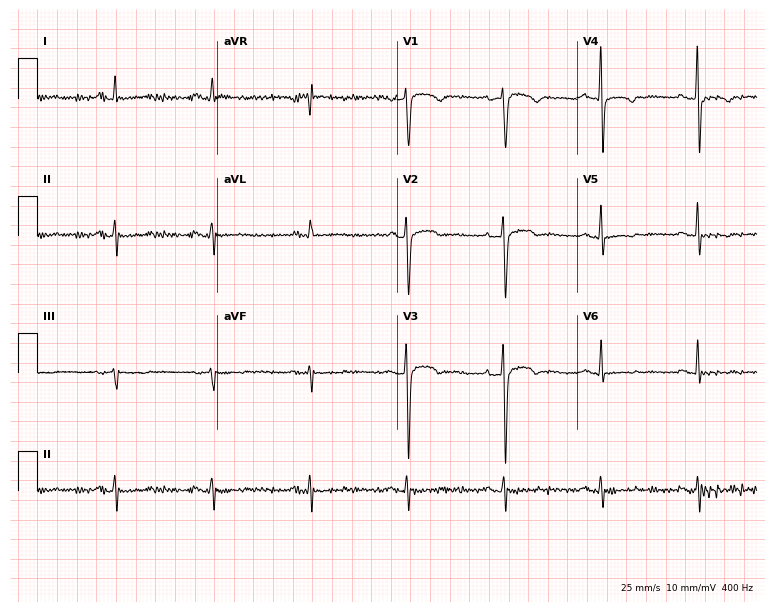
Electrocardiogram, a 56-year-old man. Of the six screened findings (first-degree AV block, right bundle branch block, left bundle branch block, sinus bradycardia, atrial fibrillation, sinus tachycardia), none is recorded.